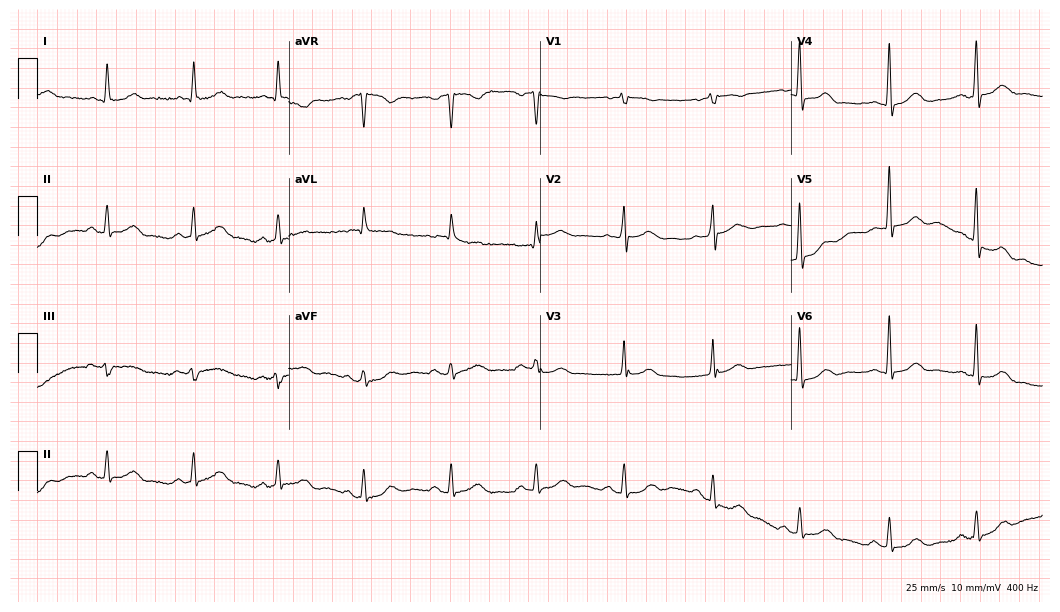
12-lead ECG from an 81-year-old female. Screened for six findings — first-degree AV block, right bundle branch block, left bundle branch block, sinus bradycardia, atrial fibrillation, sinus tachycardia — none is recorded.